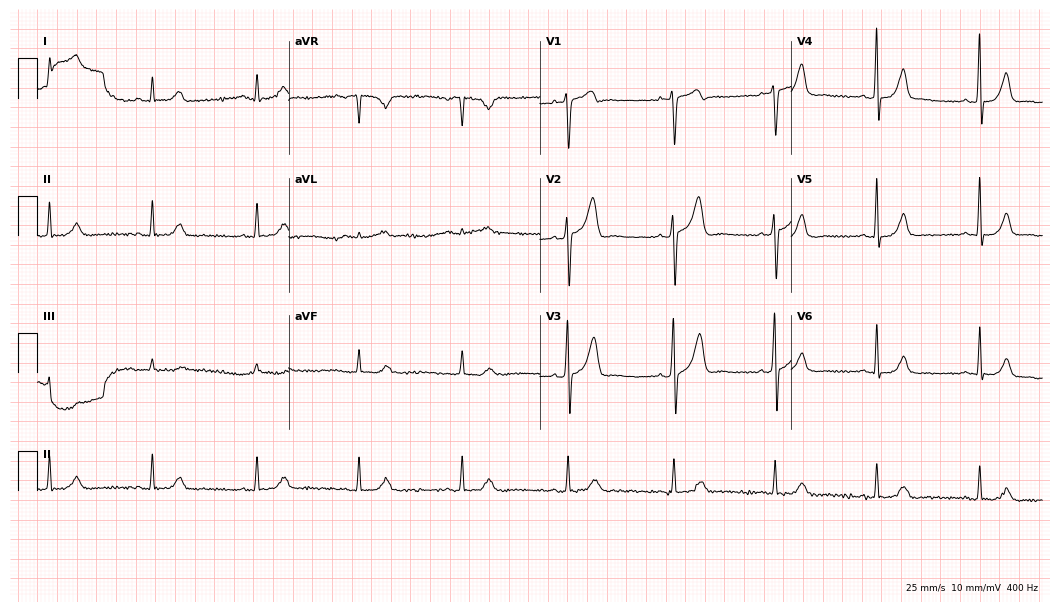
Electrocardiogram, a 51-year-old man. Of the six screened findings (first-degree AV block, right bundle branch block (RBBB), left bundle branch block (LBBB), sinus bradycardia, atrial fibrillation (AF), sinus tachycardia), none is recorded.